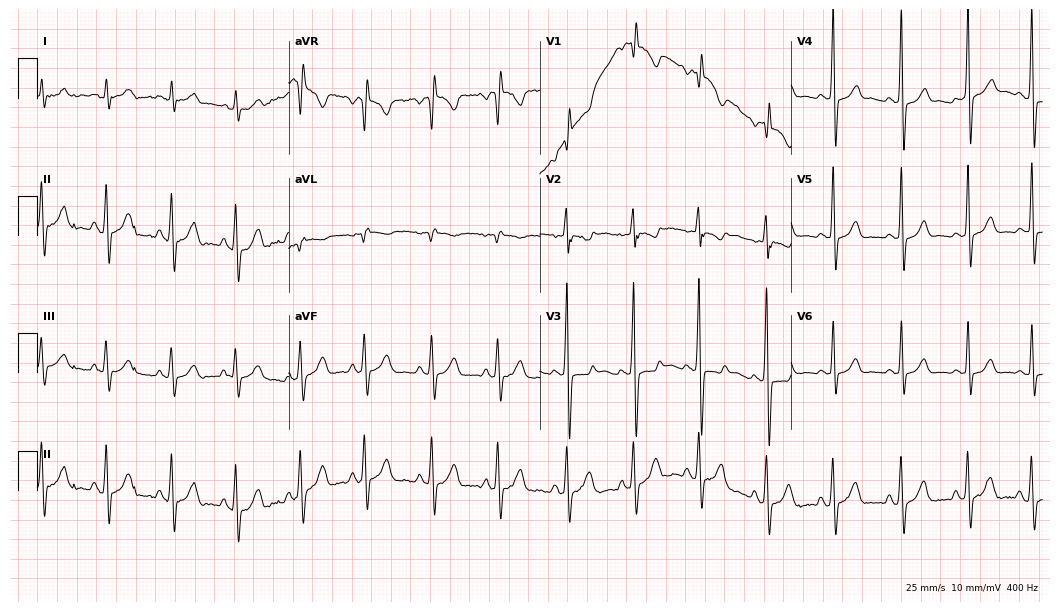
ECG — a 22-year-old man. Screened for six findings — first-degree AV block, right bundle branch block, left bundle branch block, sinus bradycardia, atrial fibrillation, sinus tachycardia — none is recorded.